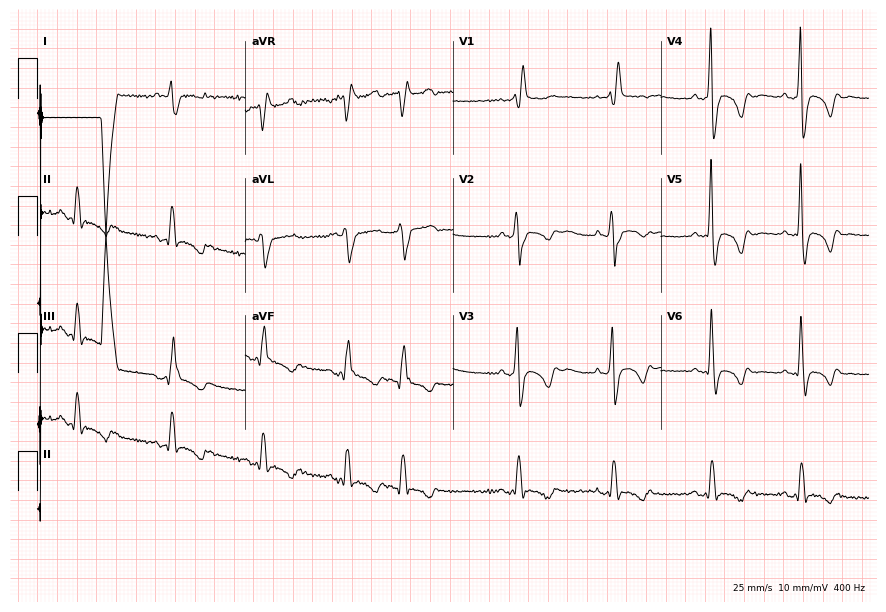
12-lead ECG from a woman, 58 years old (8.5-second recording at 400 Hz). No first-degree AV block, right bundle branch block (RBBB), left bundle branch block (LBBB), sinus bradycardia, atrial fibrillation (AF) or sinus tachycardia recorded for this tracing.